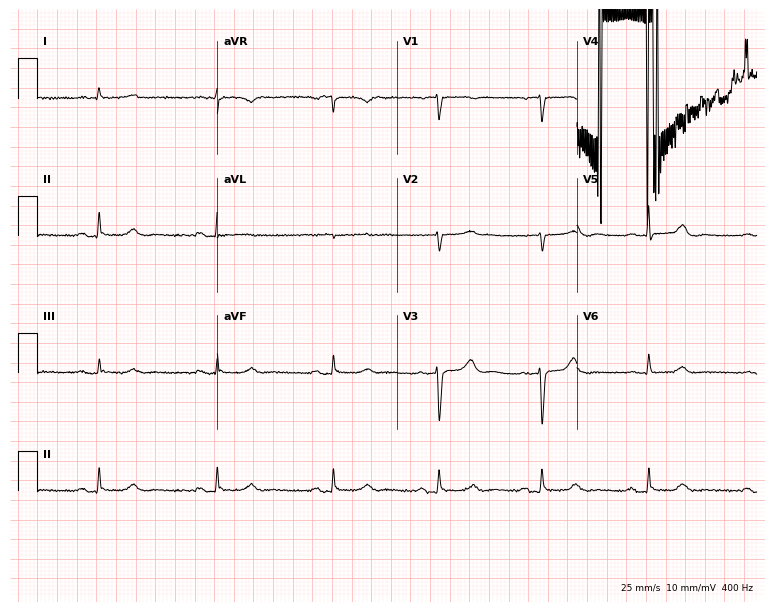
Standard 12-lead ECG recorded from a 66-year-old female patient. None of these six findings is recorded: first-degree AV block, right bundle branch block (RBBB), left bundle branch block (LBBB), sinus bradycardia, atrial fibrillation (AF), sinus tachycardia.